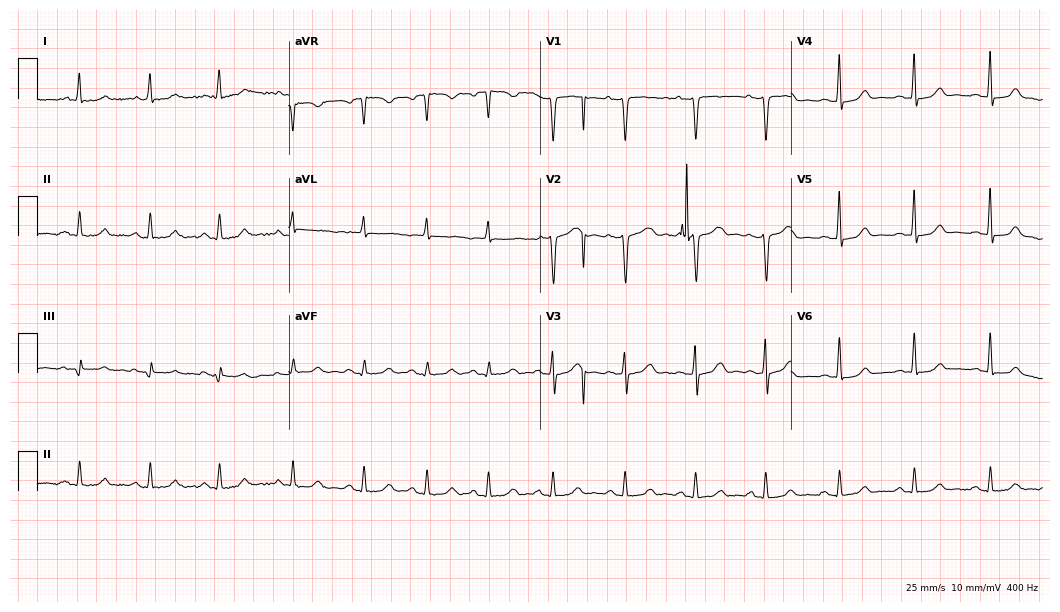
Resting 12-lead electrocardiogram. Patient: a female, 29 years old. Read as a normal ECG.